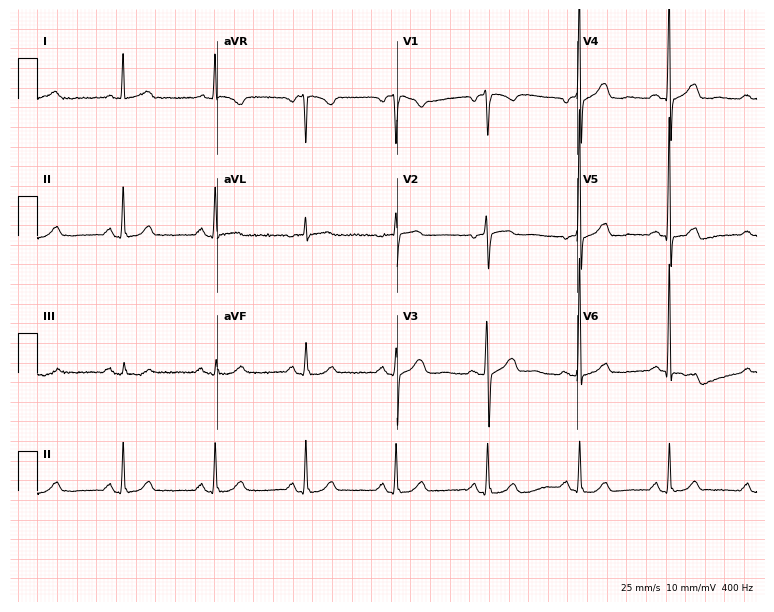
Resting 12-lead electrocardiogram. Patient: a 71-year-old woman. Read as a normal ECG.